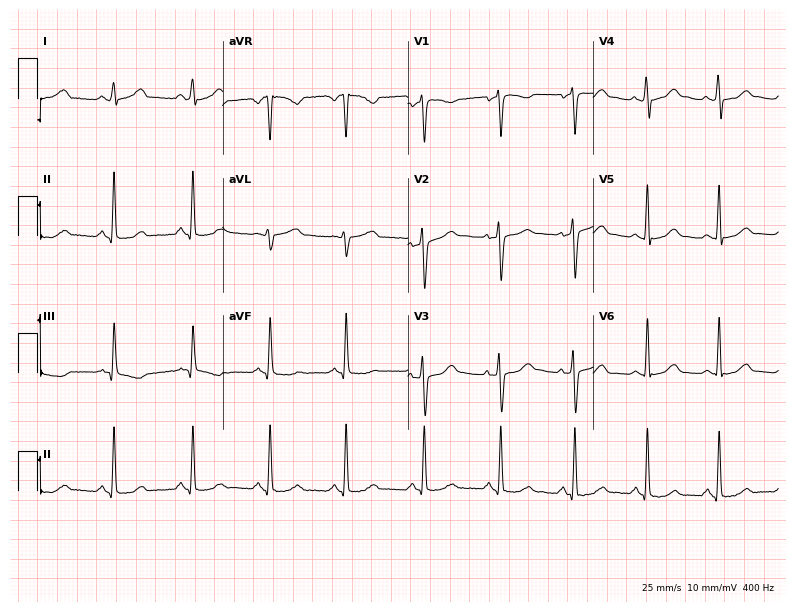
ECG — a 34-year-old female patient. Screened for six findings — first-degree AV block, right bundle branch block, left bundle branch block, sinus bradycardia, atrial fibrillation, sinus tachycardia — none is recorded.